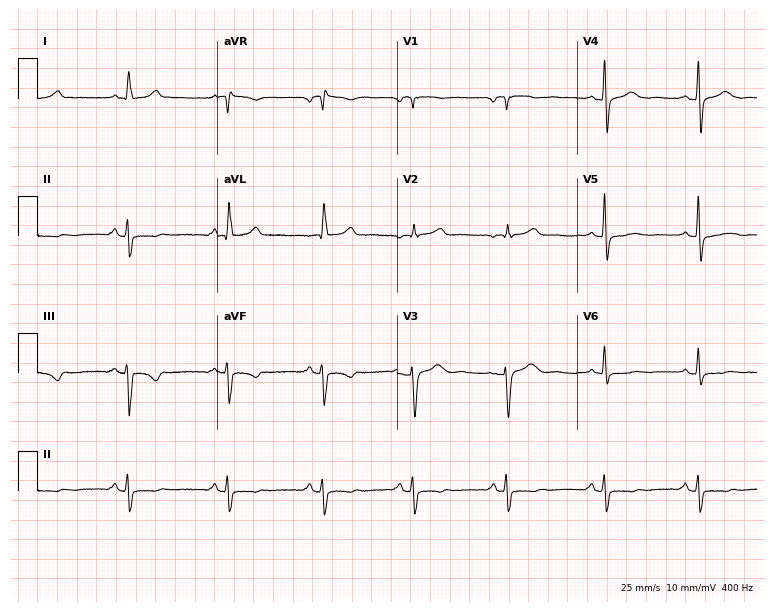
Electrocardiogram, a 61-year-old woman. Of the six screened findings (first-degree AV block, right bundle branch block (RBBB), left bundle branch block (LBBB), sinus bradycardia, atrial fibrillation (AF), sinus tachycardia), none is recorded.